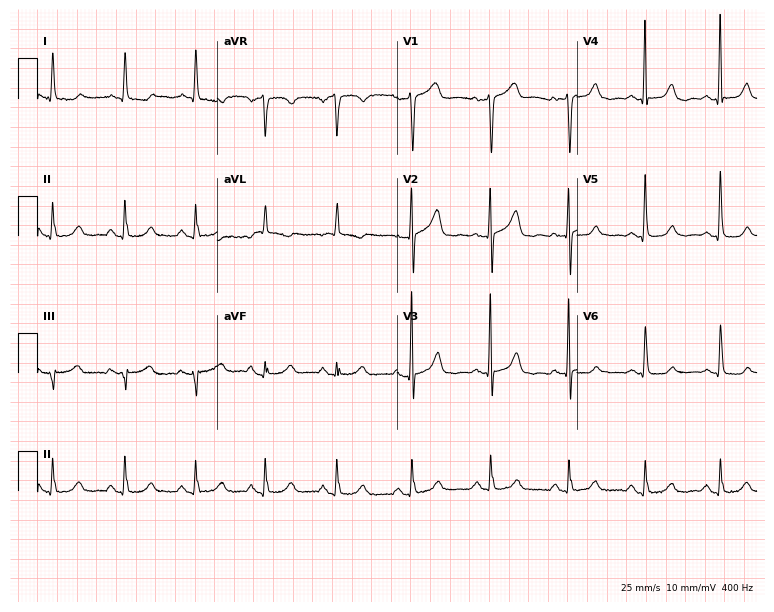
Standard 12-lead ECG recorded from a 78-year-old female patient (7.3-second recording at 400 Hz). None of these six findings is recorded: first-degree AV block, right bundle branch block, left bundle branch block, sinus bradycardia, atrial fibrillation, sinus tachycardia.